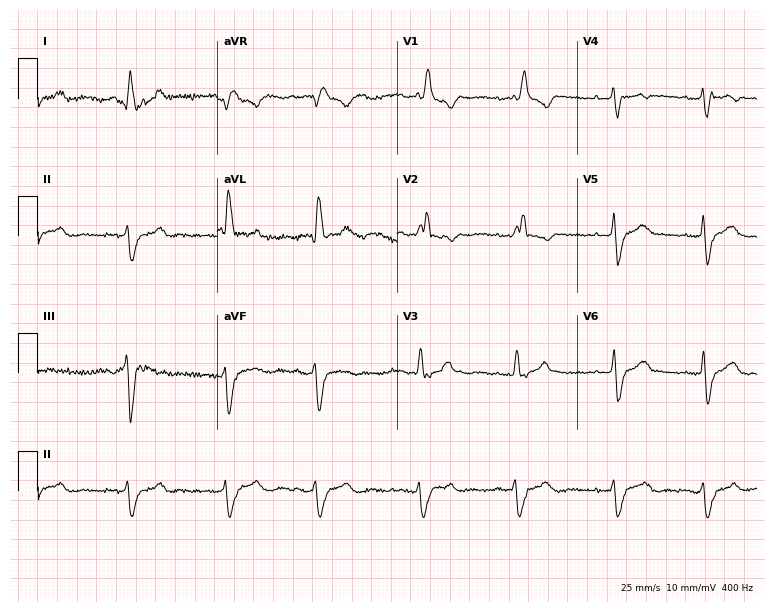
Standard 12-lead ECG recorded from a woman, 80 years old (7.3-second recording at 400 Hz). The tracing shows right bundle branch block.